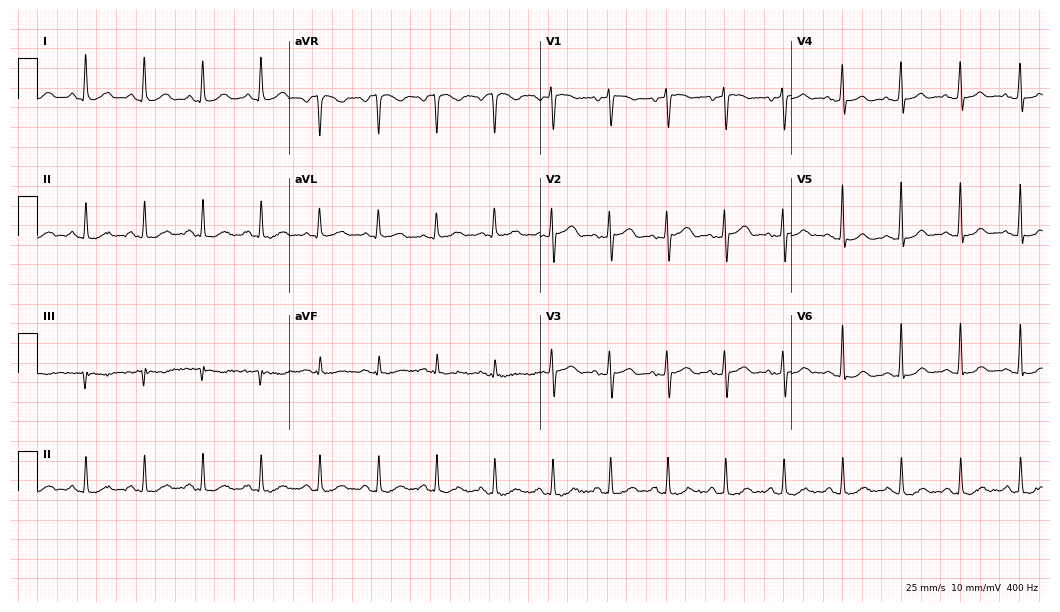
Electrocardiogram (10.2-second recording at 400 Hz), a 55-year-old female. Overall reading on record: normal ECG.